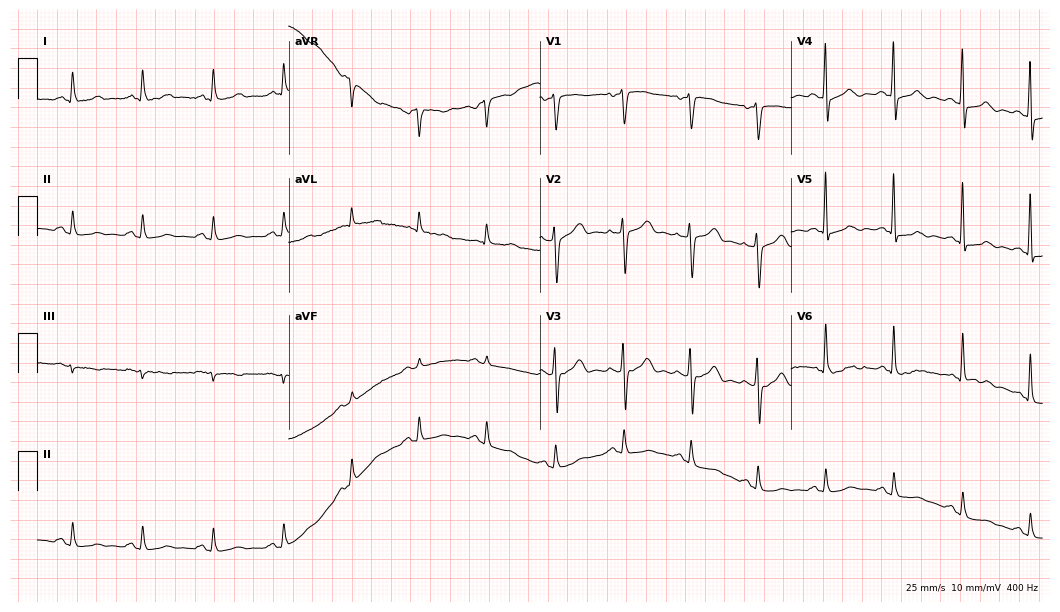
Electrocardiogram (10.2-second recording at 400 Hz), a man, 60 years old. Of the six screened findings (first-degree AV block, right bundle branch block, left bundle branch block, sinus bradycardia, atrial fibrillation, sinus tachycardia), none is recorded.